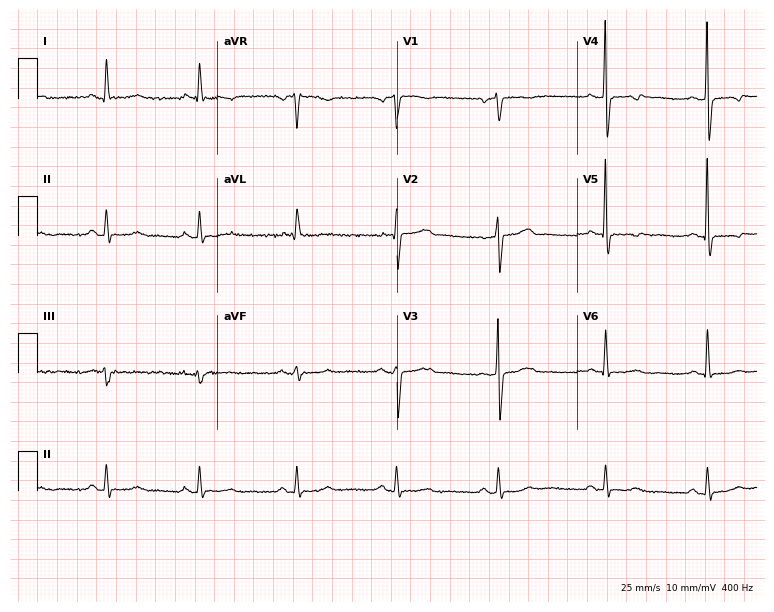
12-lead ECG from a 59-year-old woman. Labelled as a normal ECG.